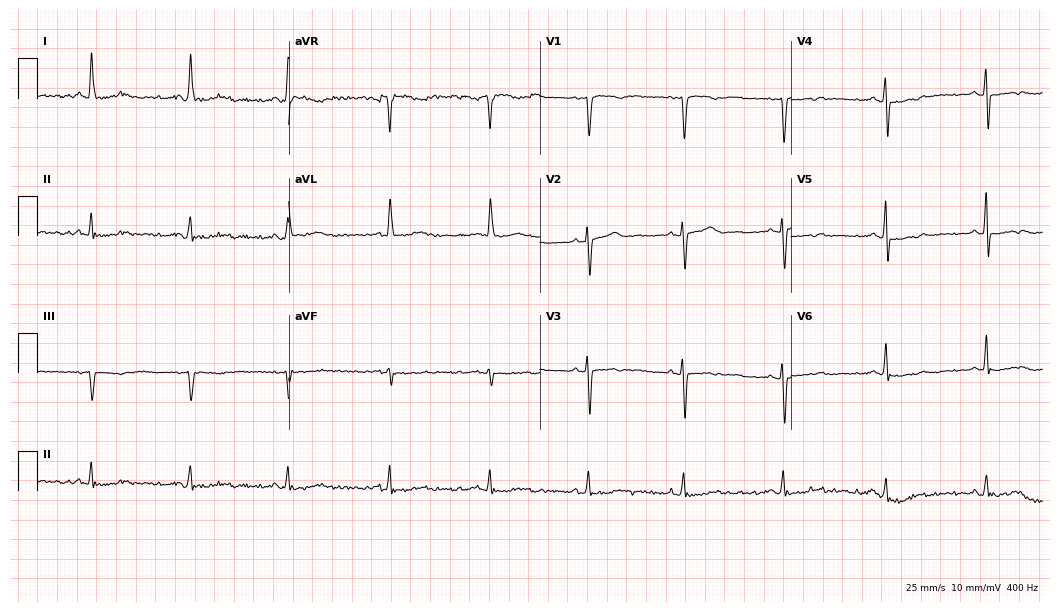
Electrocardiogram, a 62-year-old woman. Of the six screened findings (first-degree AV block, right bundle branch block, left bundle branch block, sinus bradycardia, atrial fibrillation, sinus tachycardia), none is recorded.